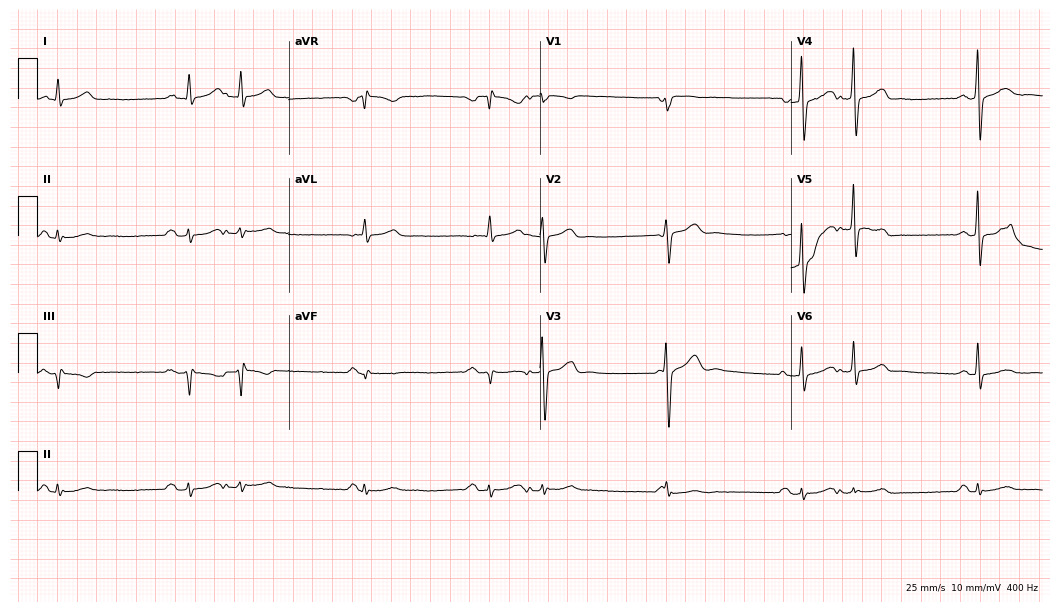
Electrocardiogram (10.2-second recording at 400 Hz), a man, 68 years old. Of the six screened findings (first-degree AV block, right bundle branch block, left bundle branch block, sinus bradycardia, atrial fibrillation, sinus tachycardia), none is recorded. Only these six findings were labelled.